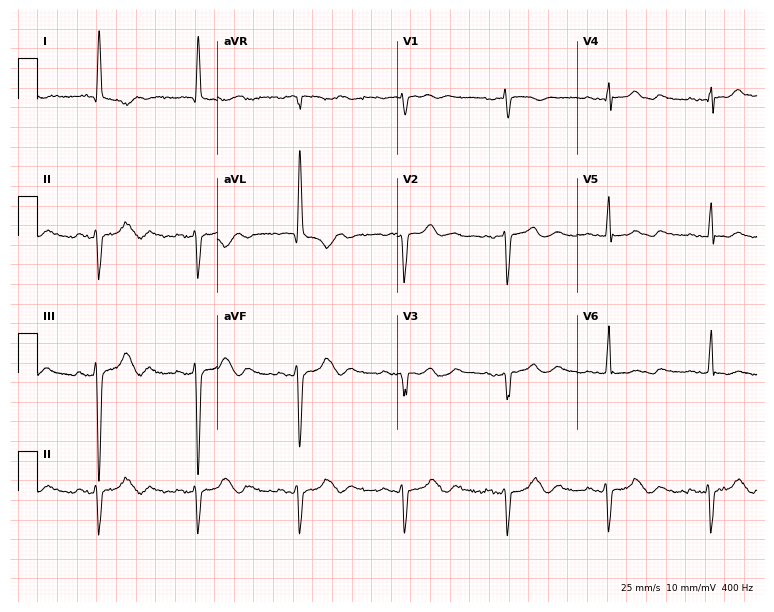
Standard 12-lead ECG recorded from an 86-year-old female. None of these six findings is recorded: first-degree AV block, right bundle branch block, left bundle branch block, sinus bradycardia, atrial fibrillation, sinus tachycardia. Only these six findings were labelled.